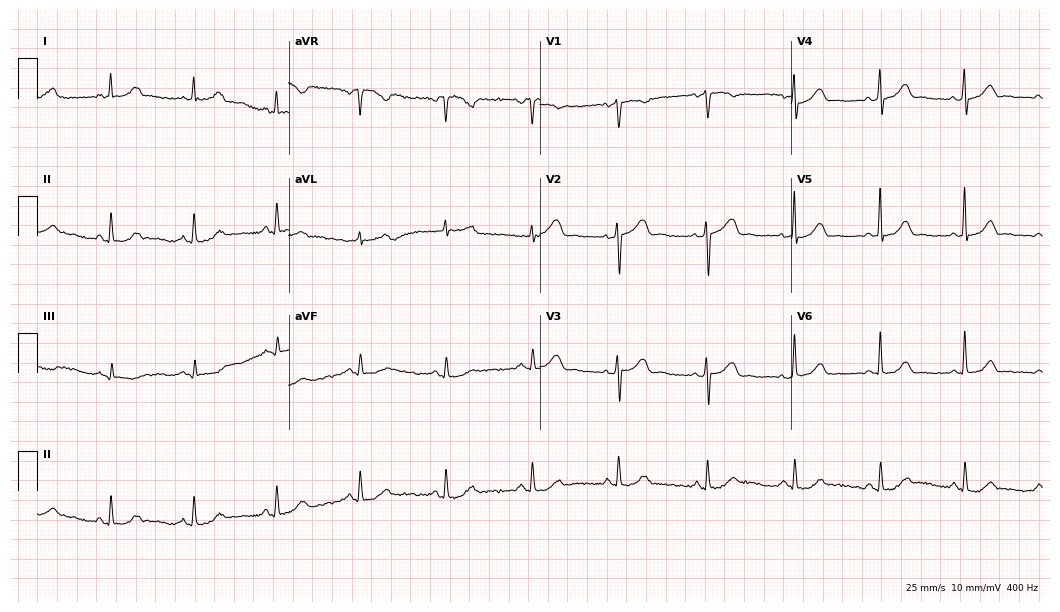
ECG (10.2-second recording at 400 Hz) — a woman, 49 years old. Labelled as a normal ECG.